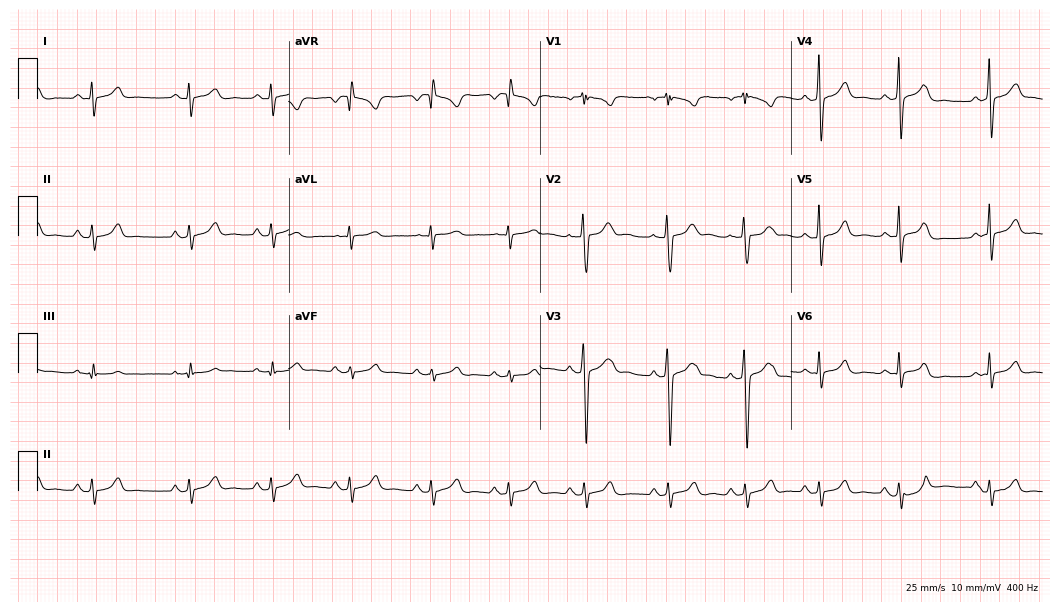
Electrocardiogram, a female, 29 years old. Overall reading on record: normal ECG.